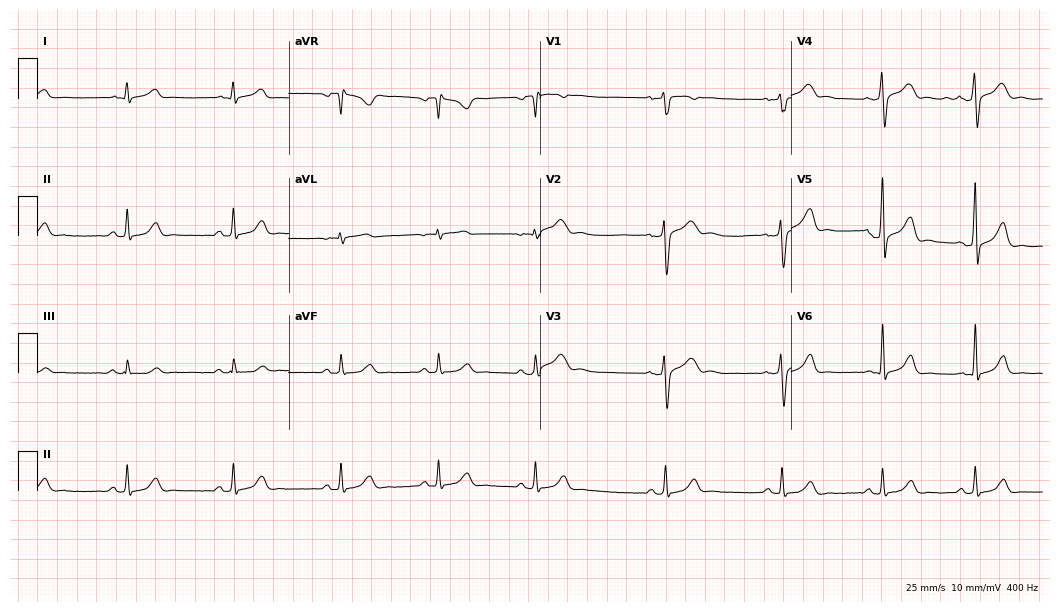
12-lead ECG from a 38-year-old male. Labelled as a normal ECG.